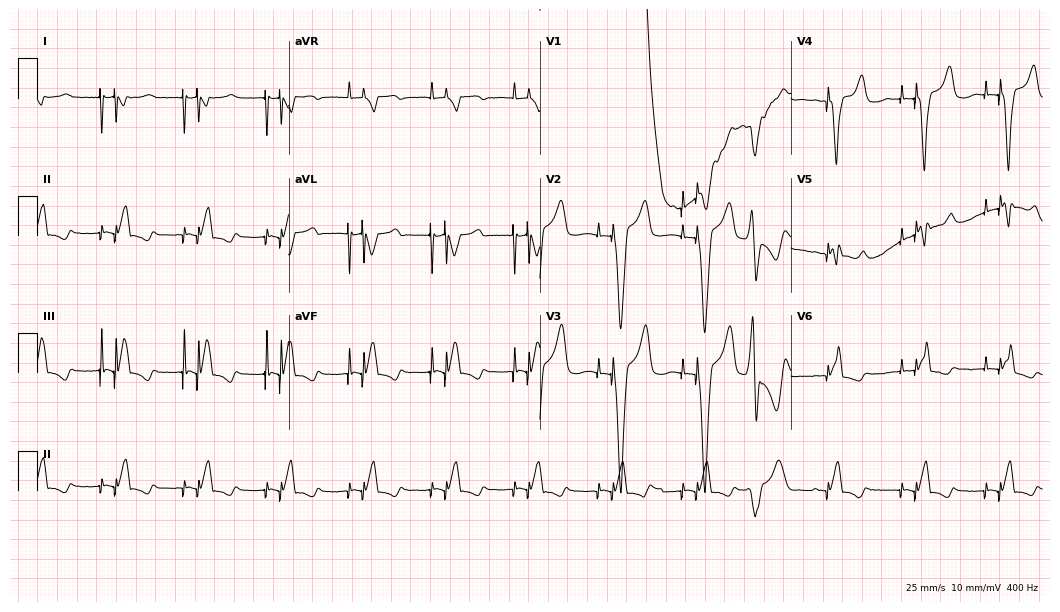
Standard 12-lead ECG recorded from a man, 79 years old. None of these six findings is recorded: first-degree AV block, right bundle branch block, left bundle branch block, sinus bradycardia, atrial fibrillation, sinus tachycardia.